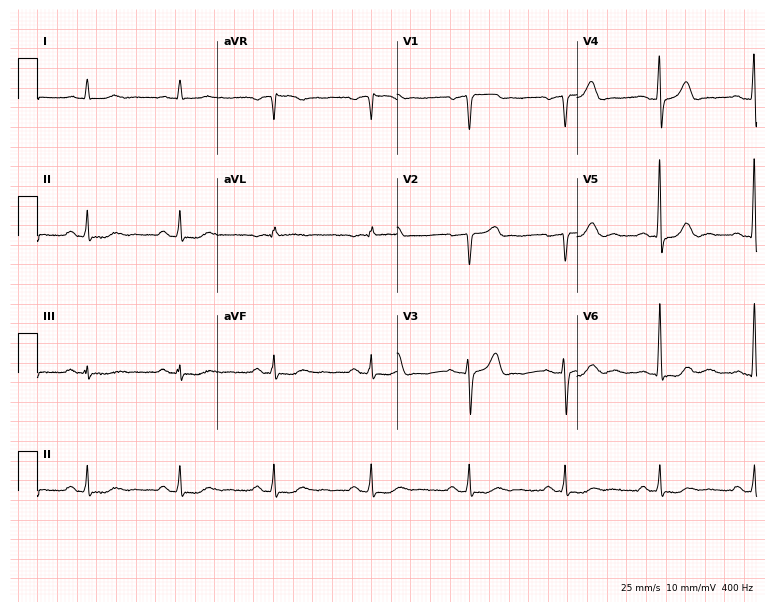
Standard 12-lead ECG recorded from a man, 72 years old (7.3-second recording at 400 Hz). Read as a normal ECG.